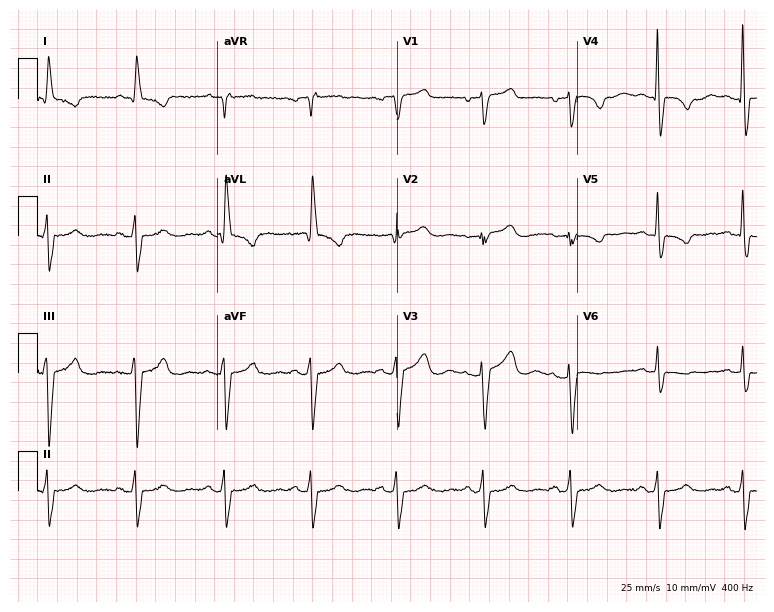
12-lead ECG from a female, 82 years old (7.3-second recording at 400 Hz). No first-degree AV block, right bundle branch block (RBBB), left bundle branch block (LBBB), sinus bradycardia, atrial fibrillation (AF) or sinus tachycardia recorded for this tracing.